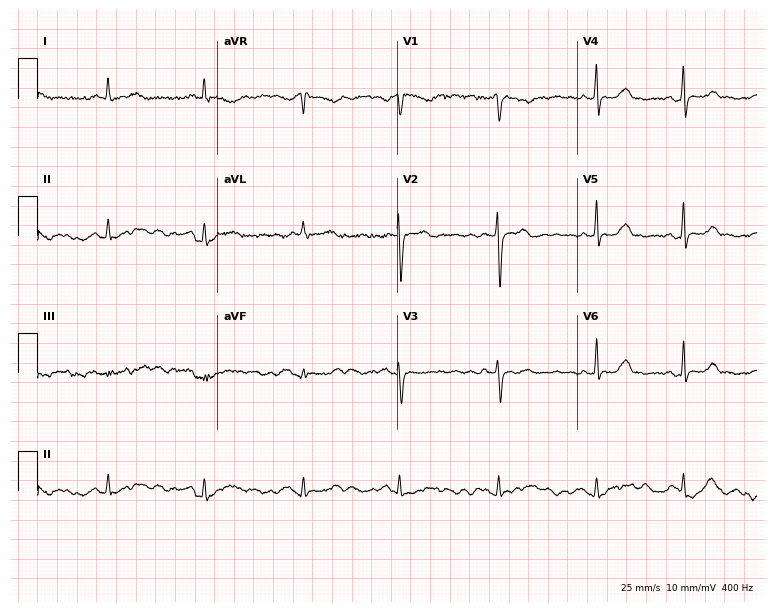
Standard 12-lead ECG recorded from a 36-year-old female patient. None of these six findings is recorded: first-degree AV block, right bundle branch block, left bundle branch block, sinus bradycardia, atrial fibrillation, sinus tachycardia. Only these six findings were labelled.